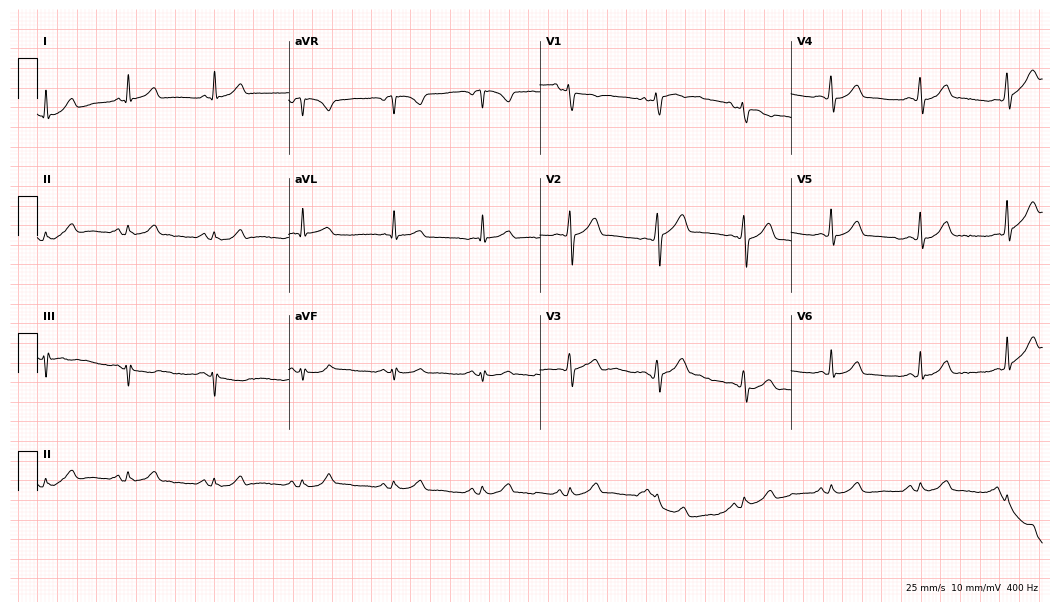
ECG — a male, 57 years old. Labelled as a normal ECG.